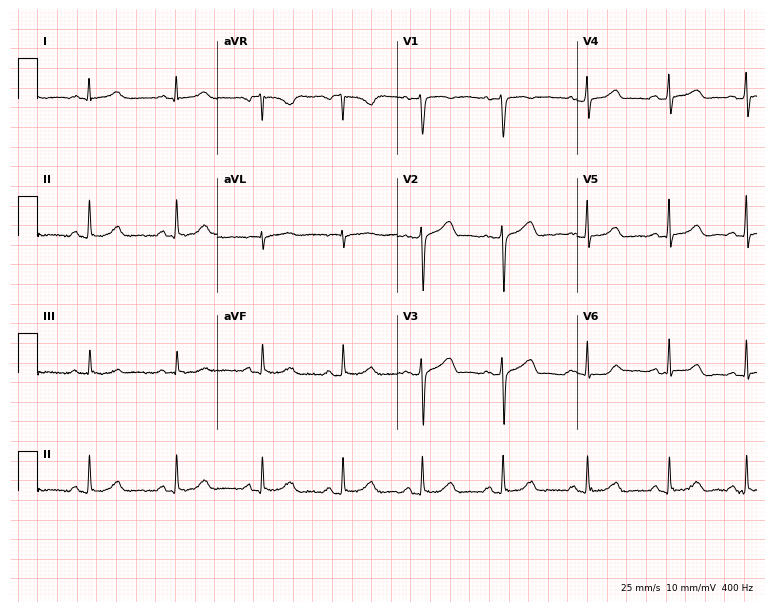
ECG (7.3-second recording at 400 Hz) — a 48-year-old woman. Labelled as a normal ECG.